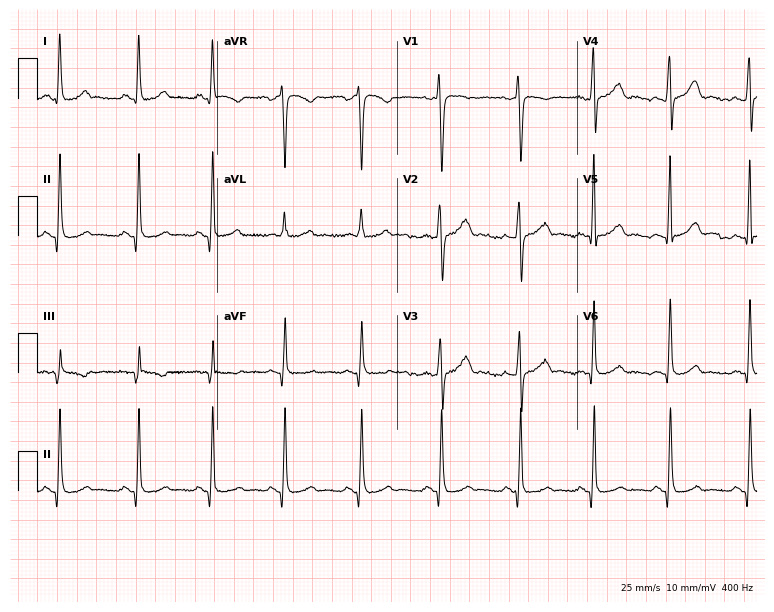
Resting 12-lead electrocardiogram (7.3-second recording at 400 Hz). Patient: a 37-year-old woman. Read as a normal ECG.